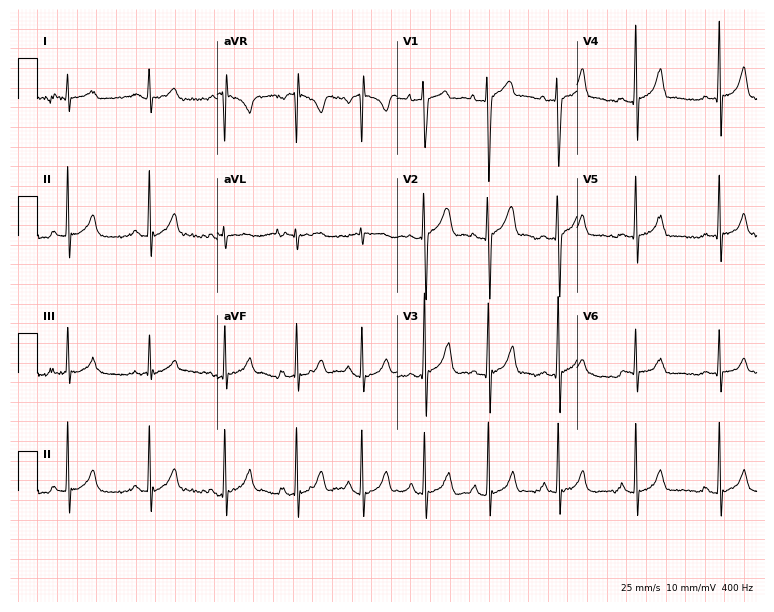
Standard 12-lead ECG recorded from an 18-year-old man. None of these six findings is recorded: first-degree AV block, right bundle branch block, left bundle branch block, sinus bradycardia, atrial fibrillation, sinus tachycardia. Other findings, if any, are not listed.